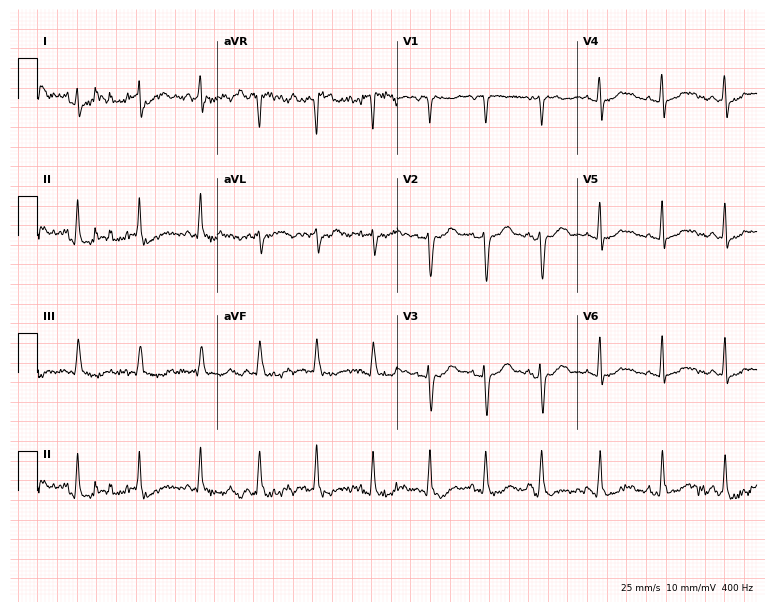
Resting 12-lead electrocardiogram. Patient: a 32-year-old female. Read as a normal ECG.